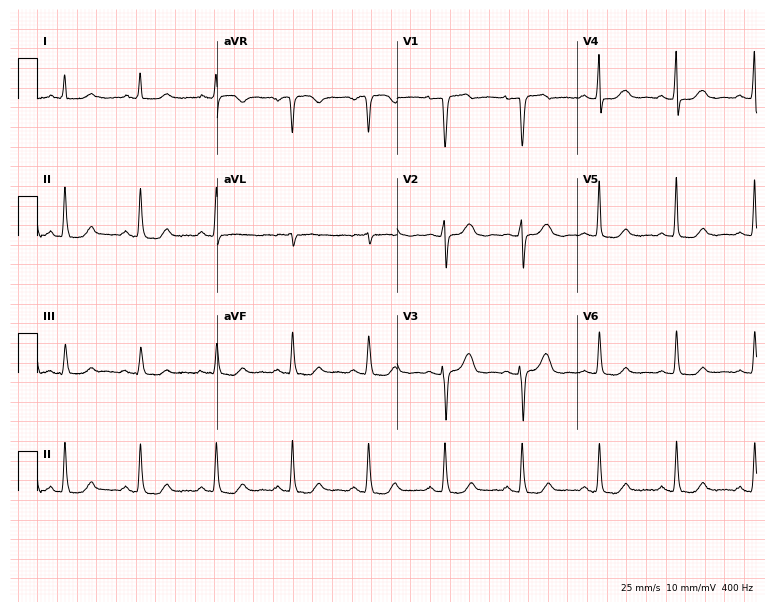
Electrocardiogram, a female patient, 73 years old. Of the six screened findings (first-degree AV block, right bundle branch block, left bundle branch block, sinus bradycardia, atrial fibrillation, sinus tachycardia), none is recorded.